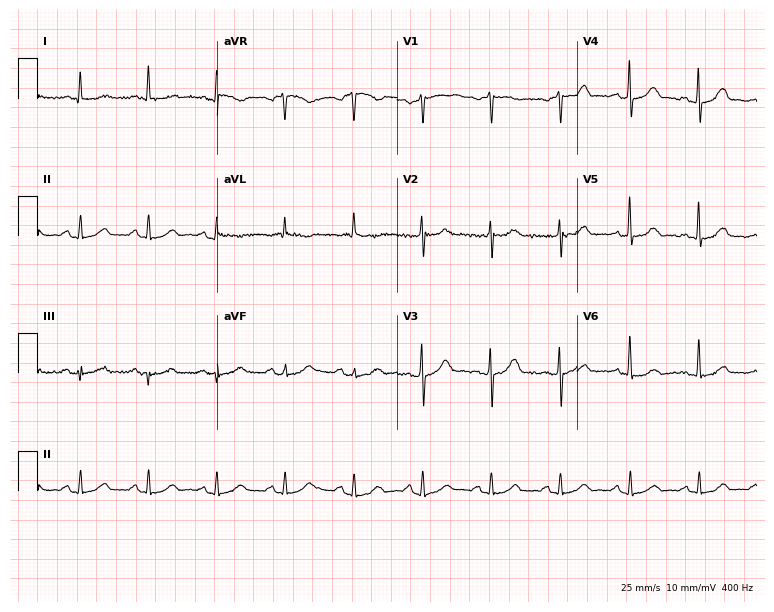
ECG (7.3-second recording at 400 Hz) — a woman, 65 years old. Screened for six findings — first-degree AV block, right bundle branch block (RBBB), left bundle branch block (LBBB), sinus bradycardia, atrial fibrillation (AF), sinus tachycardia — none is recorded. Findings outside these six are not listed.